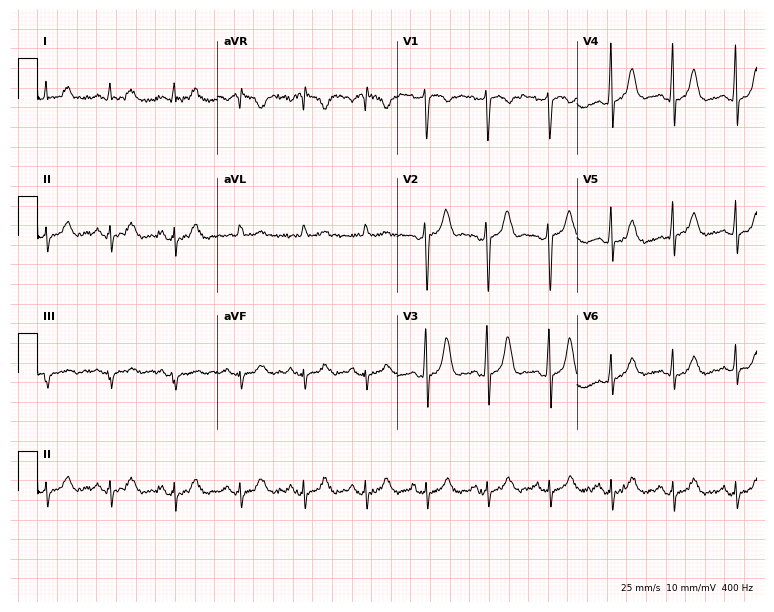
Standard 12-lead ECG recorded from a female, 44 years old (7.3-second recording at 400 Hz). None of these six findings is recorded: first-degree AV block, right bundle branch block, left bundle branch block, sinus bradycardia, atrial fibrillation, sinus tachycardia. Other findings, if any, are not listed.